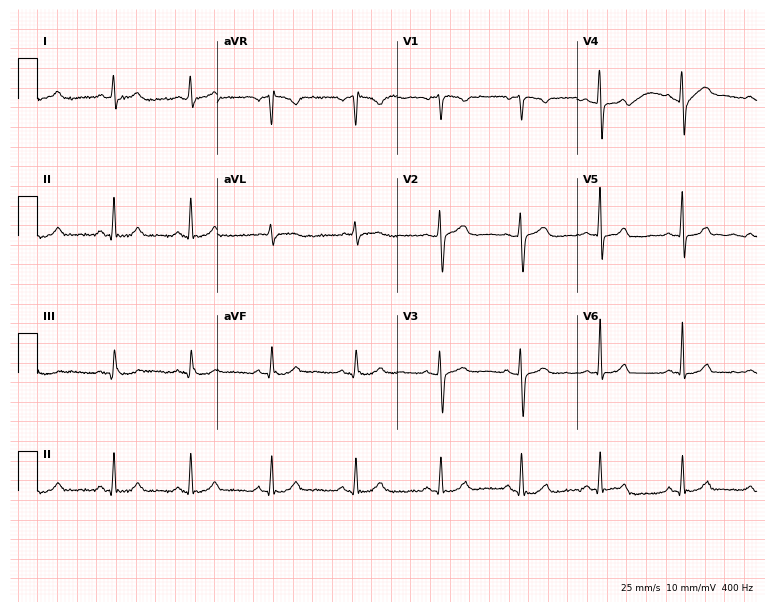
Standard 12-lead ECG recorded from a woman, 41 years old (7.3-second recording at 400 Hz). None of these six findings is recorded: first-degree AV block, right bundle branch block (RBBB), left bundle branch block (LBBB), sinus bradycardia, atrial fibrillation (AF), sinus tachycardia.